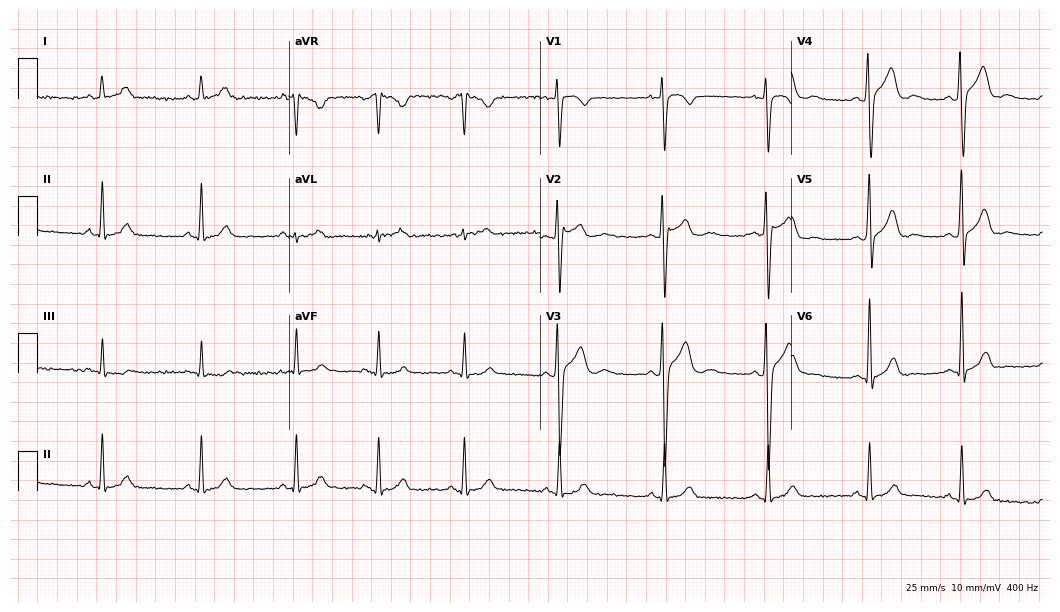
Standard 12-lead ECG recorded from a 40-year-old male patient. None of these six findings is recorded: first-degree AV block, right bundle branch block, left bundle branch block, sinus bradycardia, atrial fibrillation, sinus tachycardia.